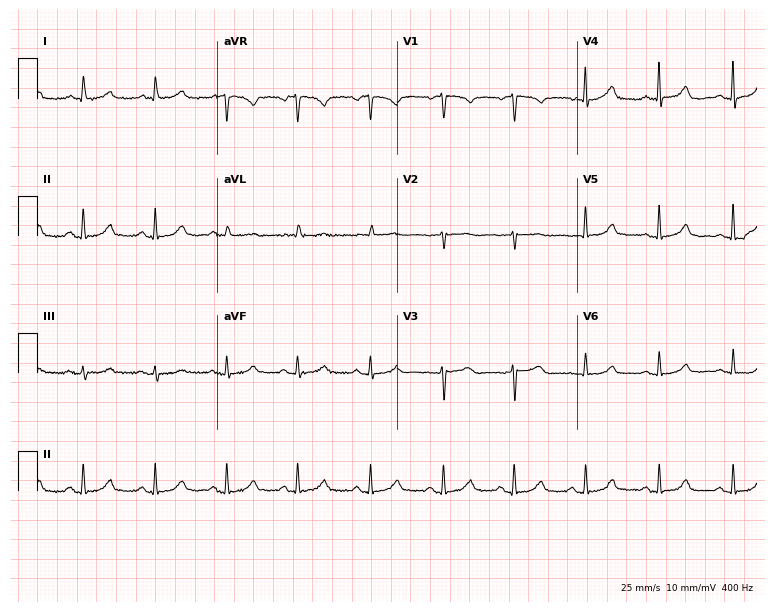
12-lead ECG (7.3-second recording at 400 Hz) from a female patient, 75 years old. Screened for six findings — first-degree AV block, right bundle branch block, left bundle branch block, sinus bradycardia, atrial fibrillation, sinus tachycardia — none is recorded. Other findings, if any, are not listed.